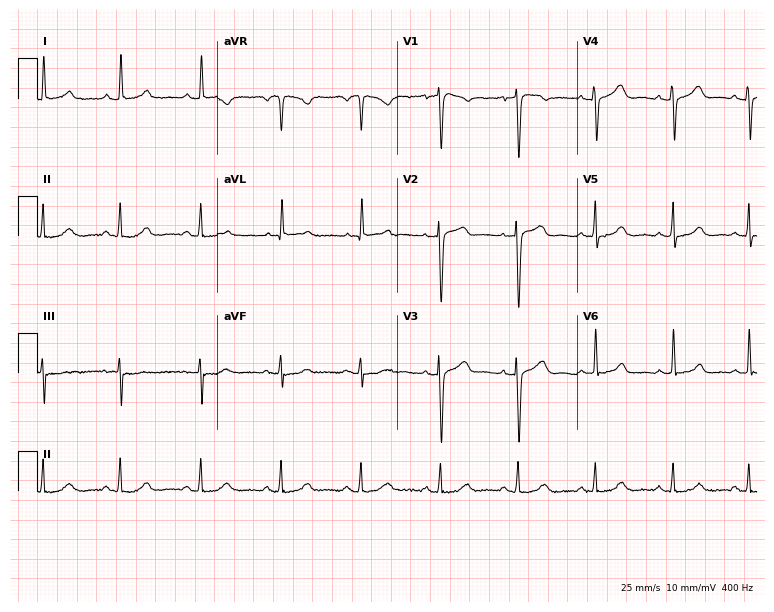
Standard 12-lead ECG recorded from a female patient, 60 years old (7.3-second recording at 400 Hz). None of these six findings is recorded: first-degree AV block, right bundle branch block (RBBB), left bundle branch block (LBBB), sinus bradycardia, atrial fibrillation (AF), sinus tachycardia.